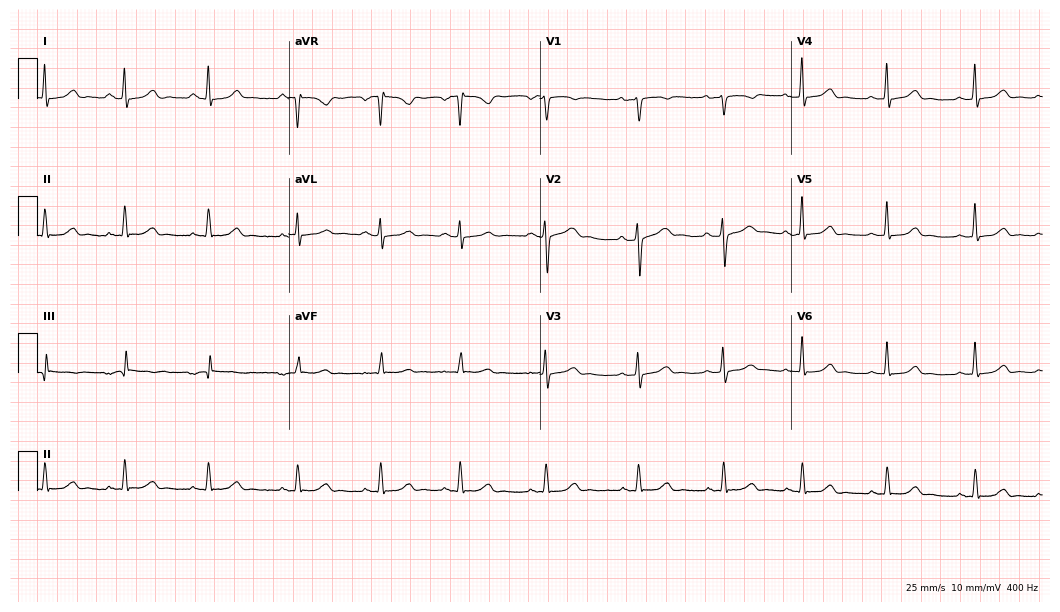
Electrocardiogram, a woman, 23 years old. Of the six screened findings (first-degree AV block, right bundle branch block, left bundle branch block, sinus bradycardia, atrial fibrillation, sinus tachycardia), none is recorded.